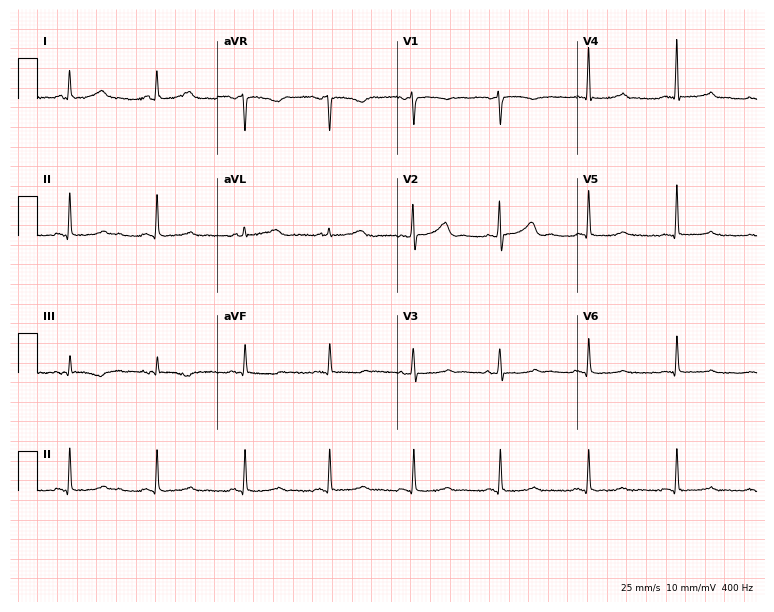
Resting 12-lead electrocardiogram (7.3-second recording at 400 Hz). Patient: a 62-year-old female. None of these six findings is recorded: first-degree AV block, right bundle branch block, left bundle branch block, sinus bradycardia, atrial fibrillation, sinus tachycardia.